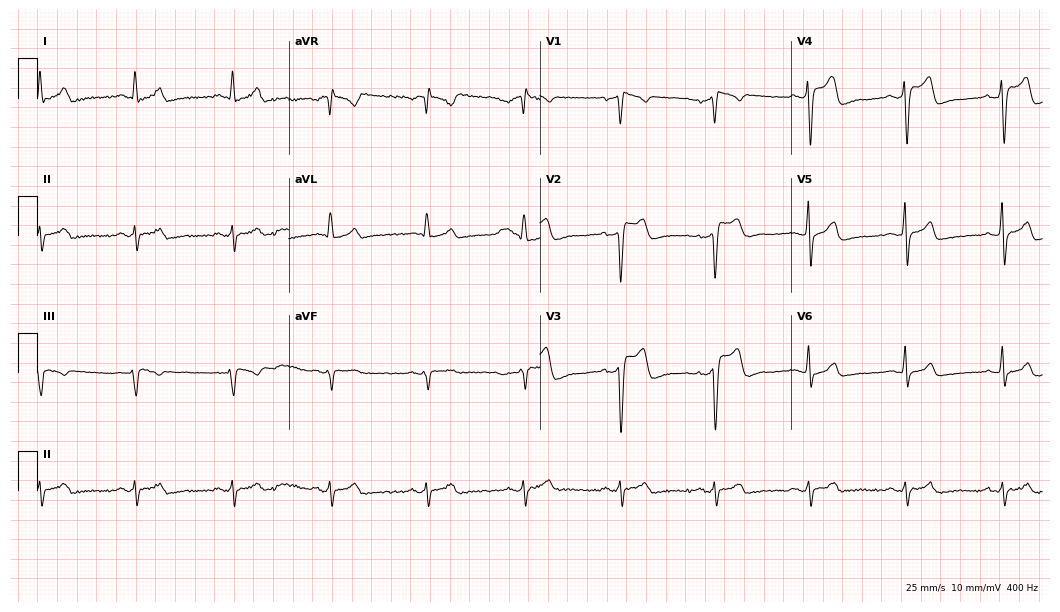
Resting 12-lead electrocardiogram. Patient: a male, 48 years old. None of these six findings is recorded: first-degree AV block, right bundle branch block, left bundle branch block, sinus bradycardia, atrial fibrillation, sinus tachycardia.